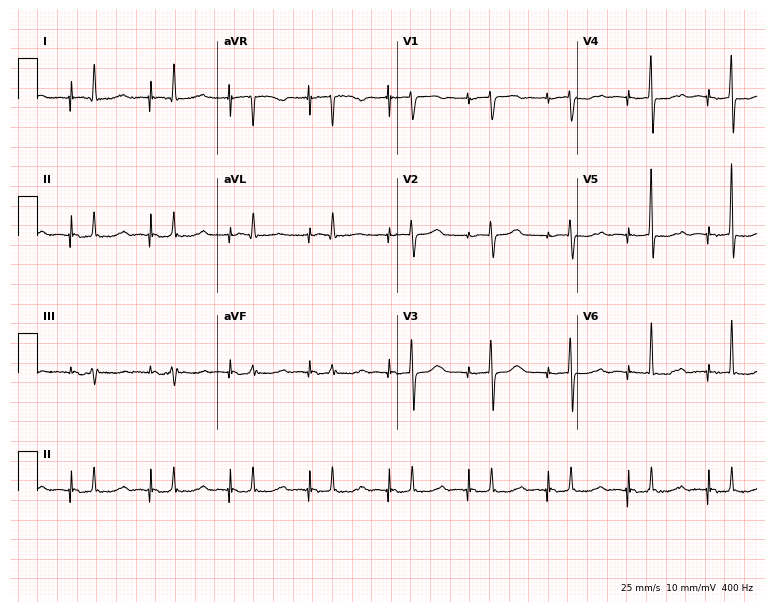
ECG (7.3-second recording at 400 Hz) — an 83-year-old female. Screened for six findings — first-degree AV block, right bundle branch block, left bundle branch block, sinus bradycardia, atrial fibrillation, sinus tachycardia — none is recorded.